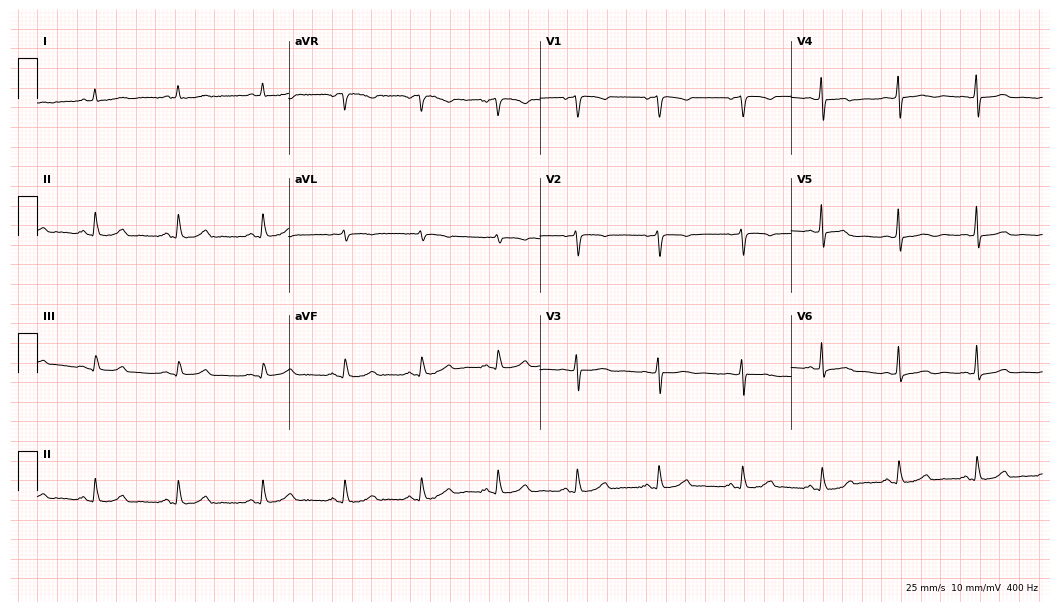
ECG — a woman, 63 years old. Screened for six findings — first-degree AV block, right bundle branch block, left bundle branch block, sinus bradycardia, atrial fibrillation, sinus tachycardia — none is recorded.